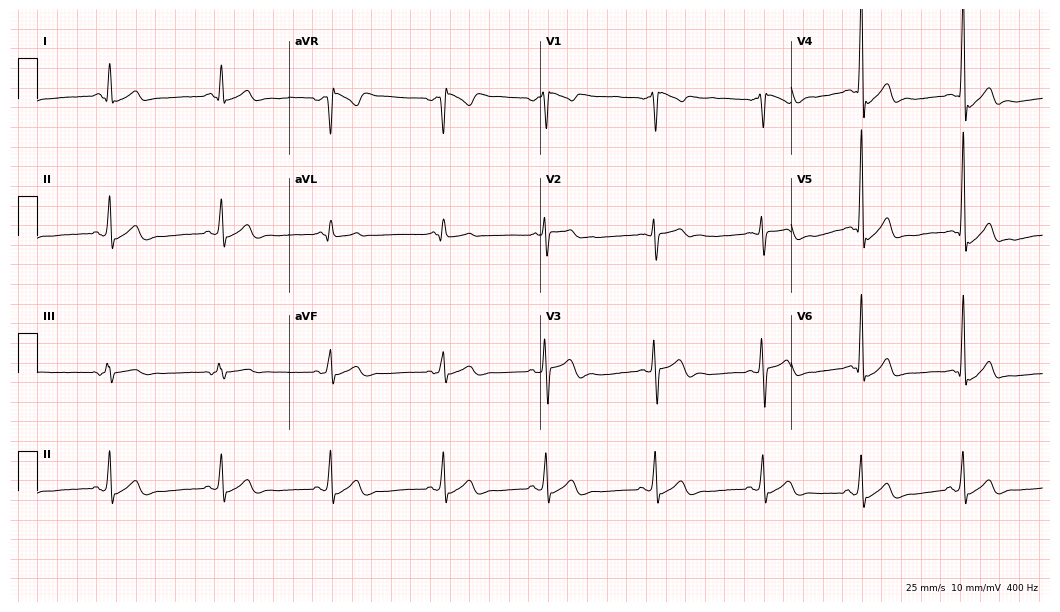
ECG (10.2-second recording at 400 Hz) — a male patient, 17 years old. Labelled as a normal ECG.